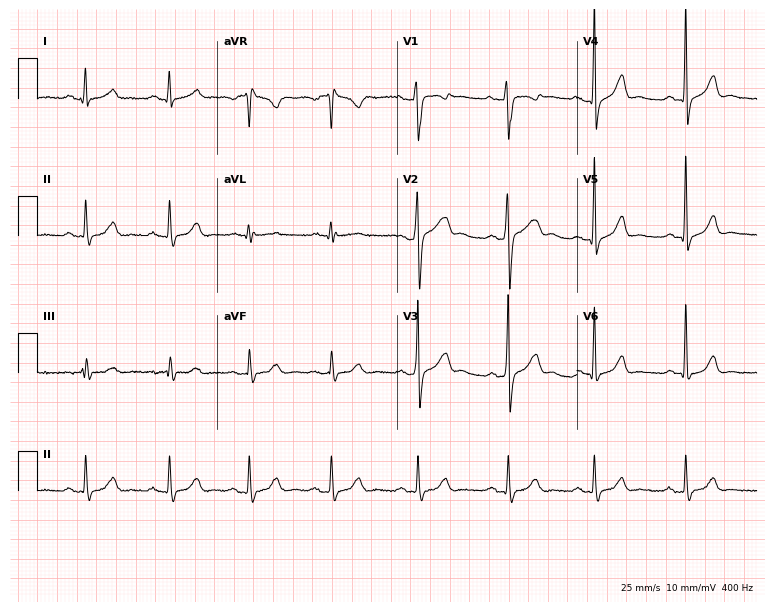
Electrocardiogram, a 41-year-old male patient. Of the six screened findings (first-degree AV block, right bundle branch block, left bundle branch block, sinus bradycardia, atrial fibrillation, sinus tachycardia), none is recorded.